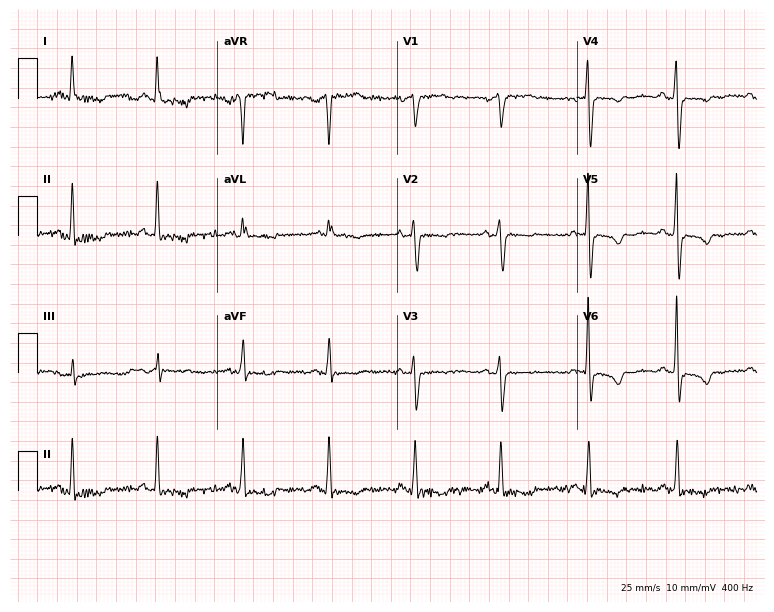
Resting 12-lead electrocardiogram (7.3-second recording at 400 Hz). Patient: a female, 53 years old. None of these six findings is recorded: first-degree AV block, right bundle branch block, left bundle branch block, sinus bradycardia, atrial fibrillation, sinus tachycardia. Findings outside these six are not listed.